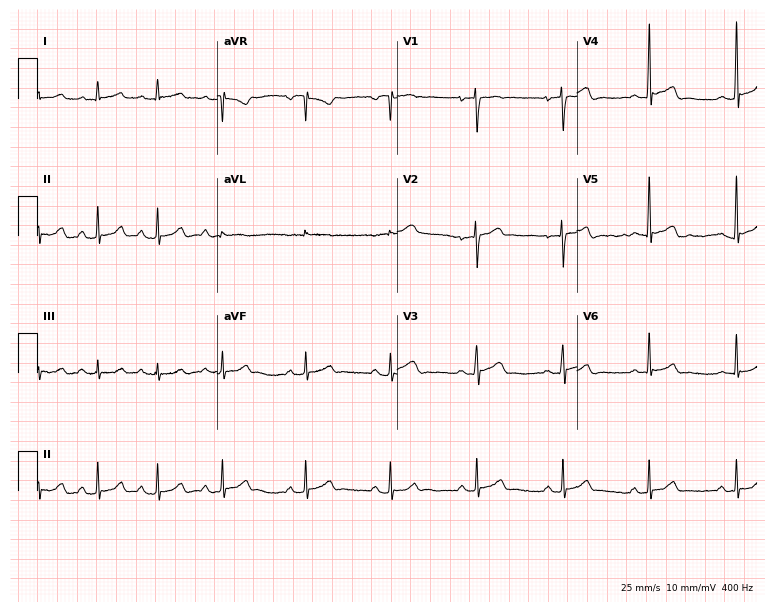
12-lead ECG (7.3-second recording at 400 Hz) from a female, 24 years old. Labelled as a normal ECG.